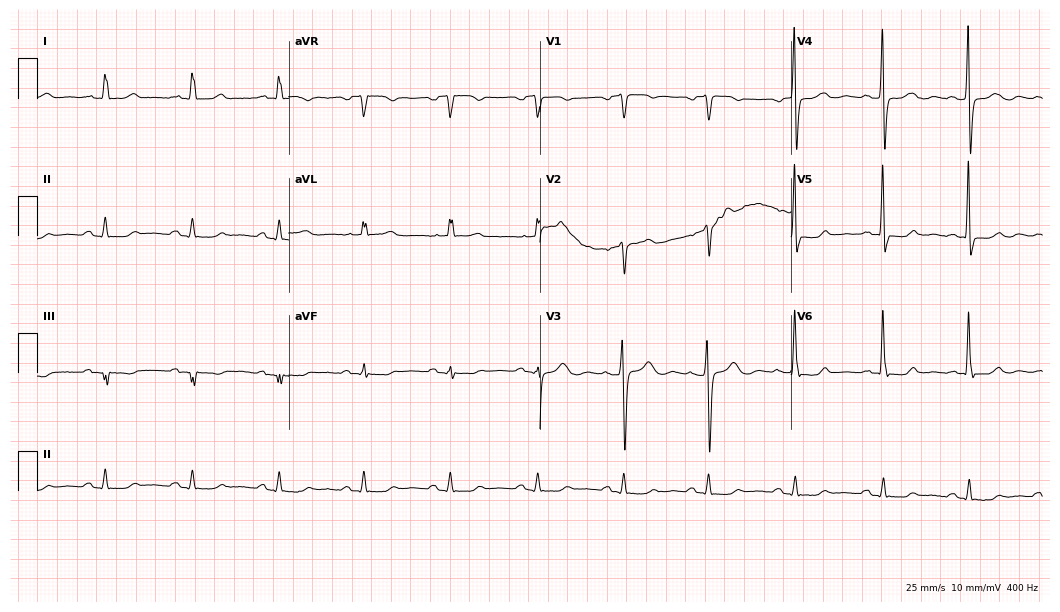
12-lead ECG from a 61-year-old female patient. Screened for six findings — first-degree AV block, right bundle branch block (RBBB), left bundle branch block (LBBB), sinus bradycardia, atrial fibrillation (AF), sinus tachycardia — none is recorded. Findings outside these six are not listed.